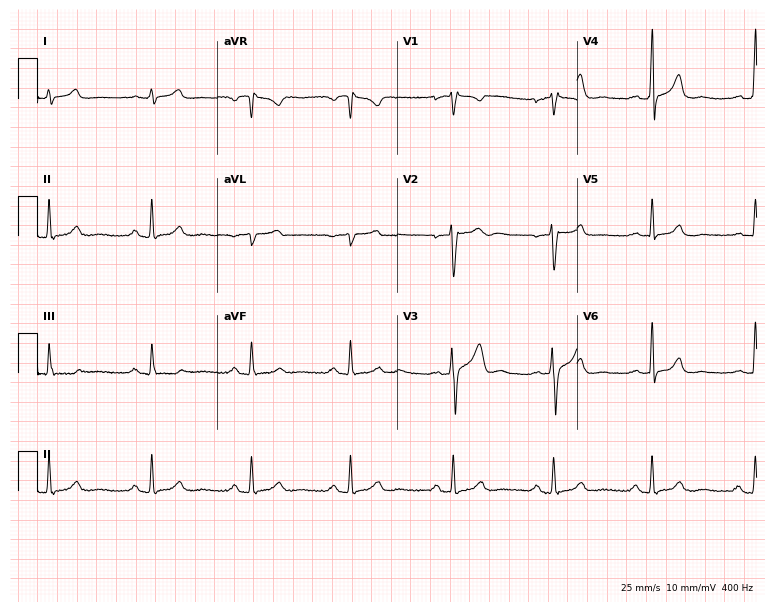
12-lead ECG from a 43-year-old man. Screened for six findings — first-degree AV block, right bundle branch block, left bundle branch block, sinus bradycardia, atrial fibrillation, sinus tachycardia — none is recorded. Other findings, if any, are not listed.